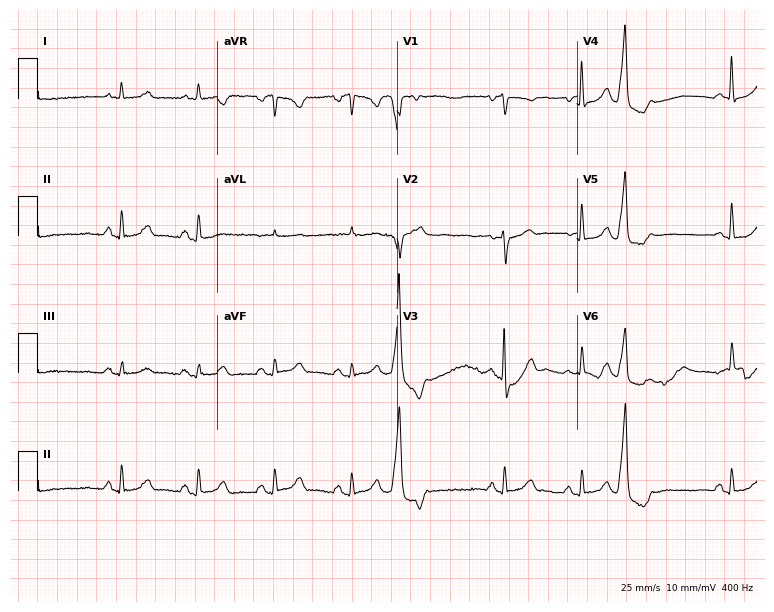
Electrocardiogram, a male, 69 years old. Of the six screened findings (first-degree AV block, right bundle branch block, left bundle branch block, sinus bradycardia, atrial fibrillation, sinus tachycardia), none is recorded.